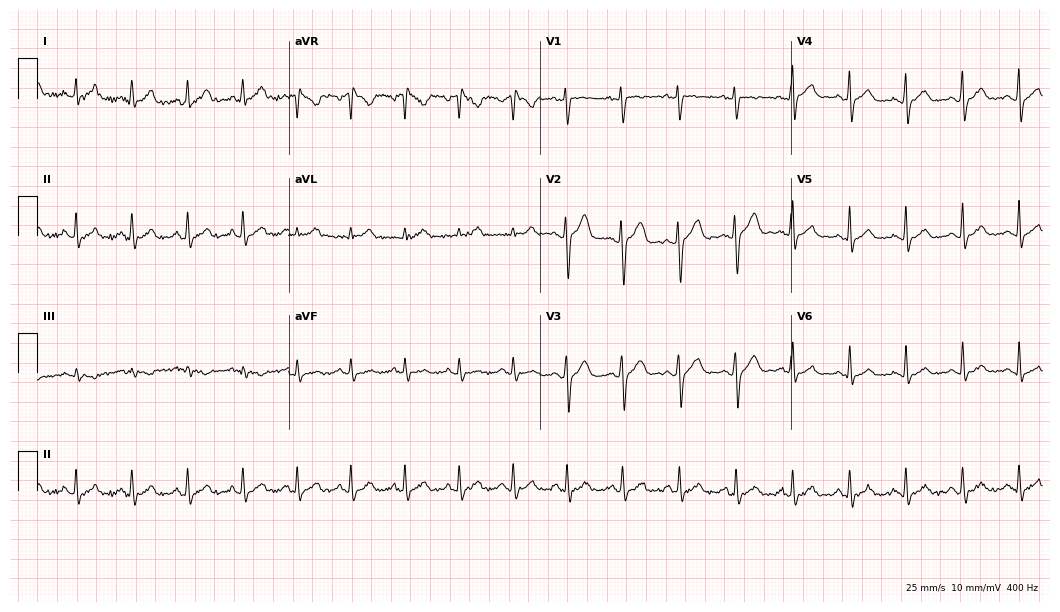
Standard 12-lead ECG recorded from a male patient, 21 years old. The tracing shows sinus tachycardia (a sinus rate of 100 beats per minute or more).